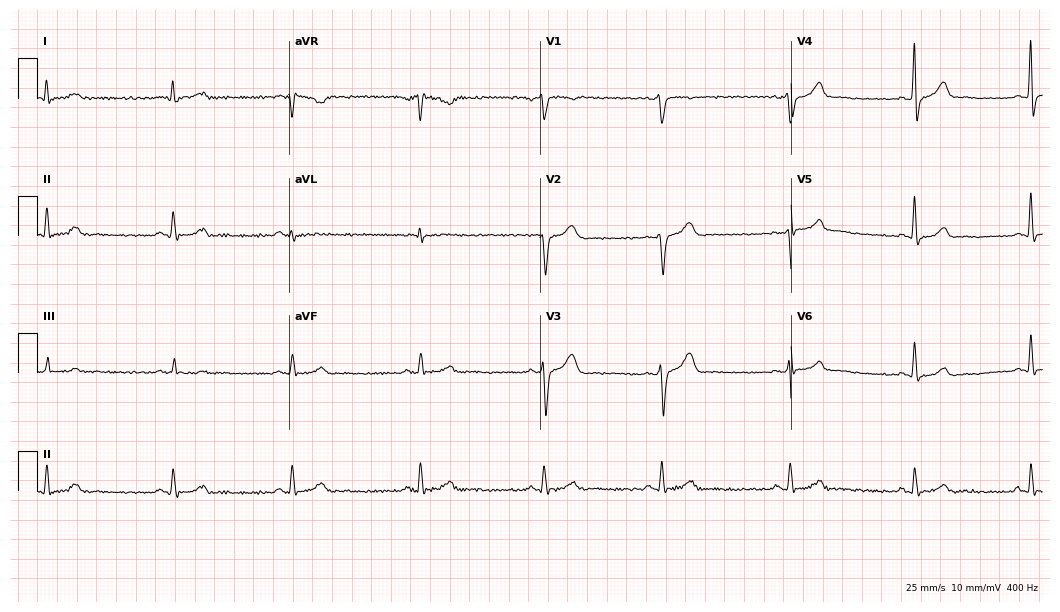
Resting 12-lead electrocardiogram. Patient: a 21-year-old man. Read as a normal ECG.